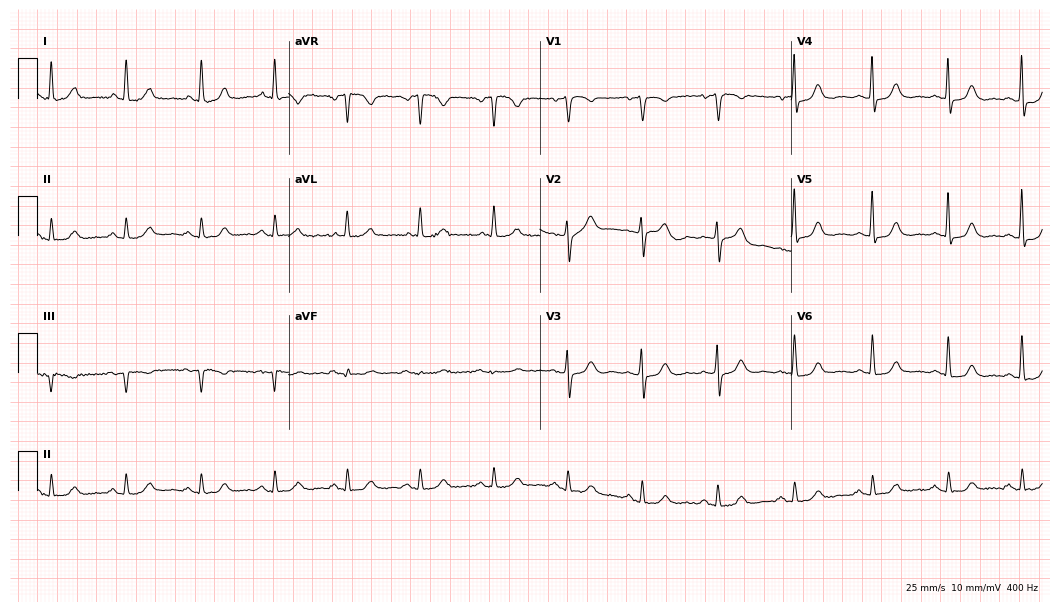
ECG — a 68-year-old female patient. Labelled as a normal ECG.